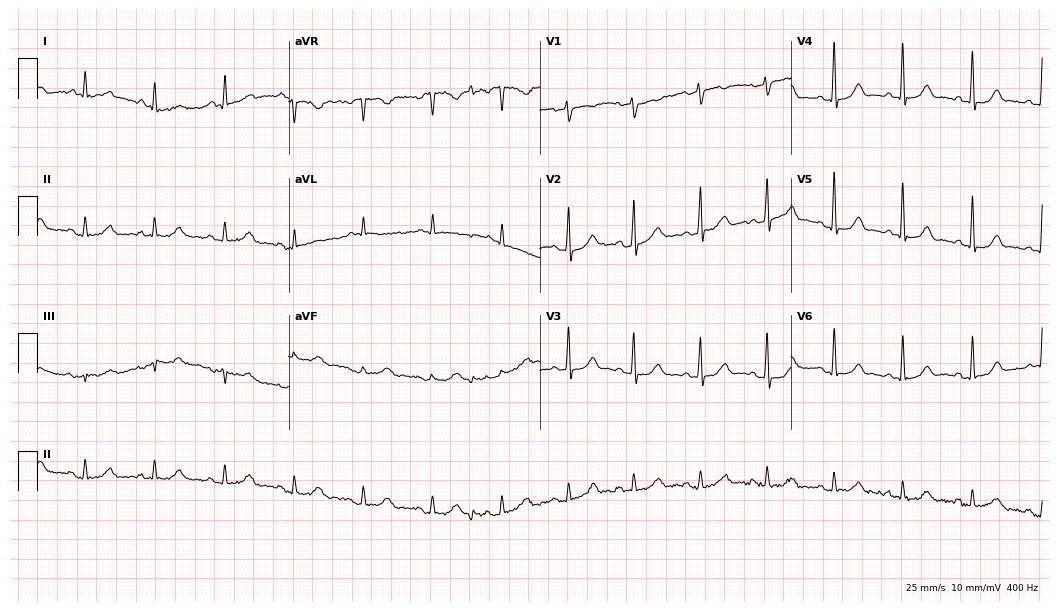
Electrocardiogram, a female patient, 45 years old. Overall reading on record: normal ECG.